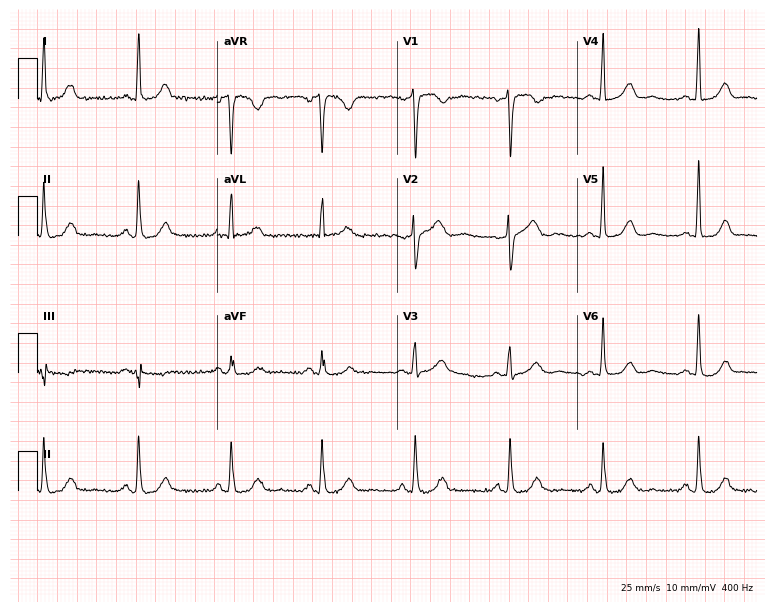
Resting 12-lead electrocardiogram. Patient: a 50-year-old female. Read as a normal ECG.